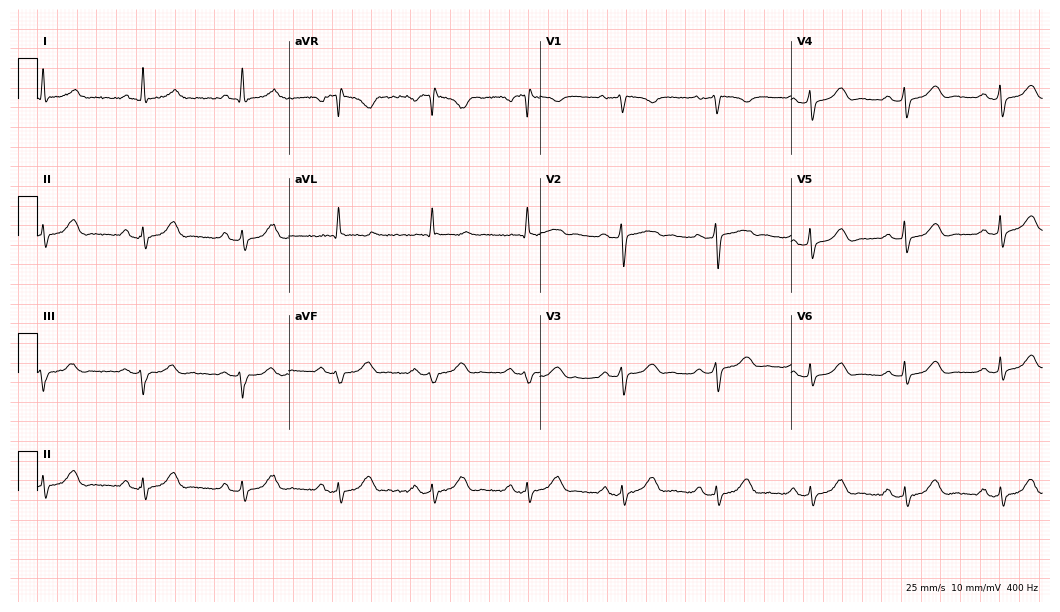
12-lead ECG (10.2-second recording at 400 Hz) from a 60-year-old female patient. Findings include first-degree AV block.